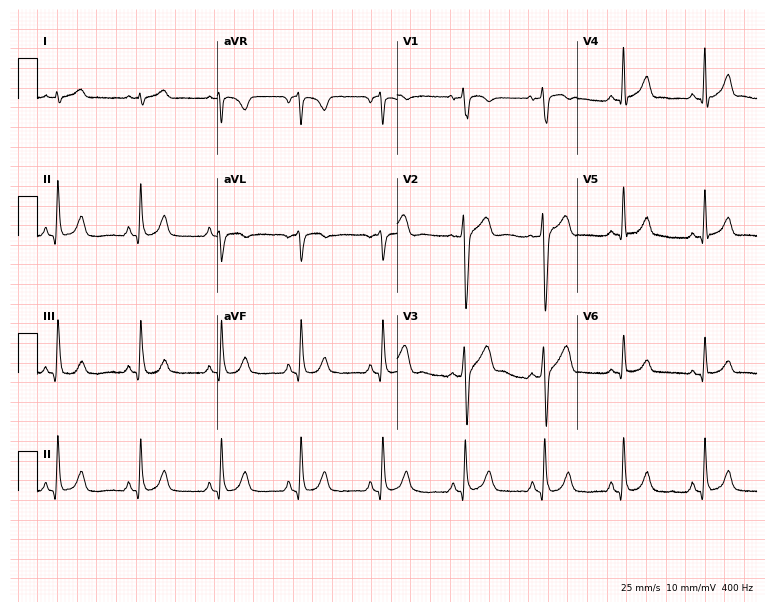
12-lead ECG from a man, 37 years old. Screened for six findings — first-degree AV block, right bundle branch block, left bundle branch block, sinus bradycardia, atrial fibrillation, sinus tachycardia — none is recorded. Findings outside these six are not listed.